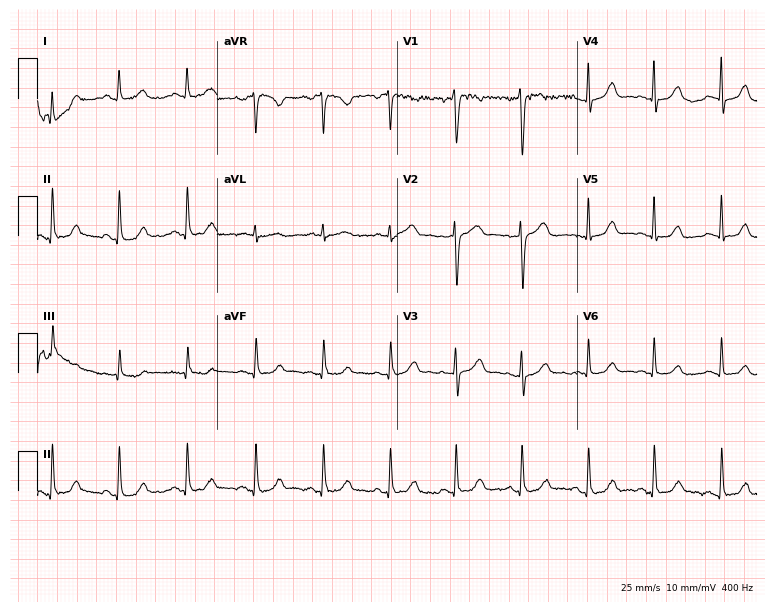
12-lead ECG from a woman, 44 years old (7.3-second recording at 400 Hz). Recorded interpretation: within normal limits.